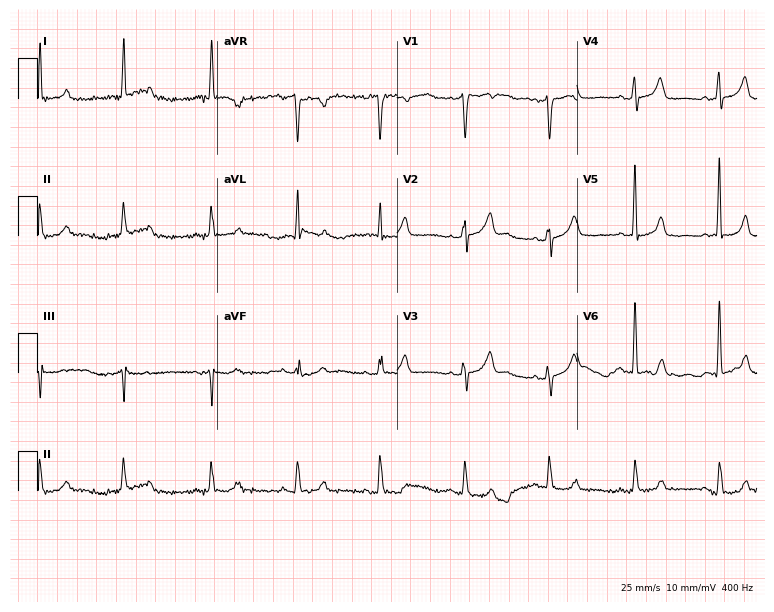
Standard 12-lead ECG recorded from a 70-year-old woman (7.3-second recording at 400 Hz). None of these six findings is recorded: first-degree AV block, right bundle branch block (RBBB), left bundle branch block (LBBB), sinus bradycardia, atrial fibrillation (AF), sinus tachycardia. Other findings, if any, are not listed.